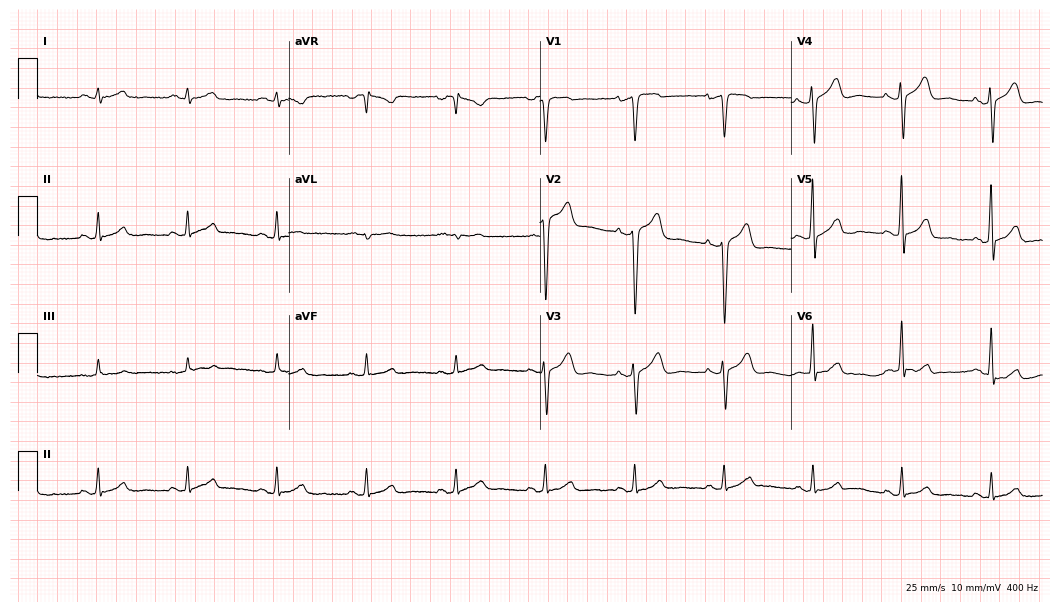
Standard 12-lead ECG recorded from a man, 51 years old (10.2-second recording at 400 Hz). Read as a normal ECG.